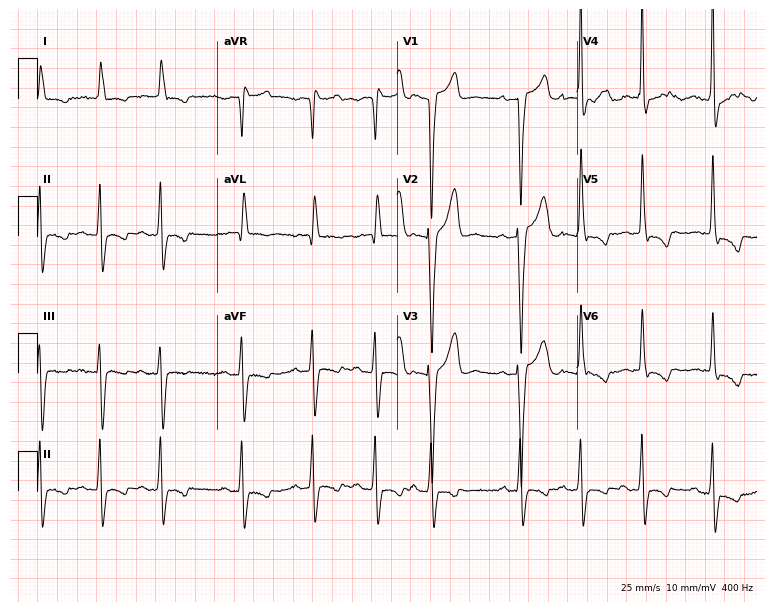
Standard 12-lead ECG recorded from a 78-year-old male (7.3-second recording at 400 Hz). None of these six findings is recorded: first-degree AV block, right bundle branch block (RBBB), left bundle branch block (LBBB), sinus bradycardia, atrial fibrillation (AF), sinus tachycardia. Other findings, if any, are not listed.